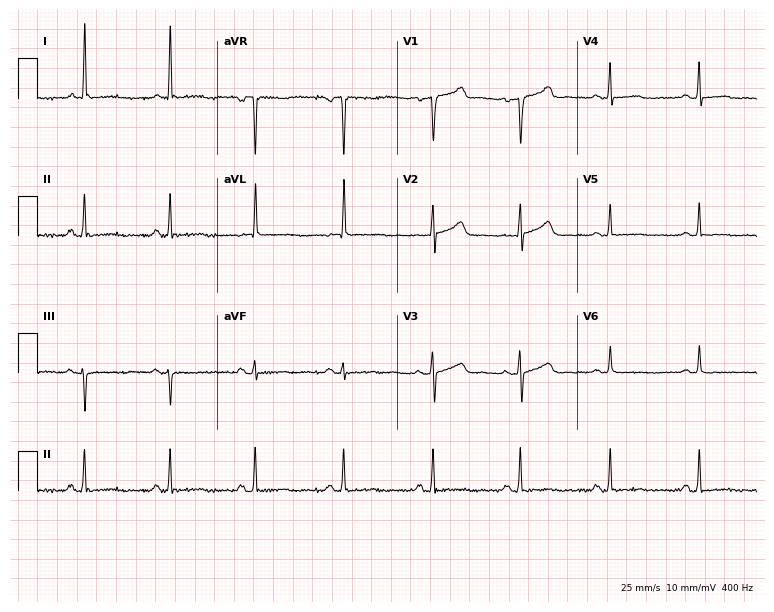
Electrocardiogram, a female, 52 years old. Of the six screened findings (first-degree AV block, right bundle branch block, left bundle branch block, sinus bradycardia, atrial fibrillation, sinus tachycardia), none is recorded. Findings outside these six are not listed.